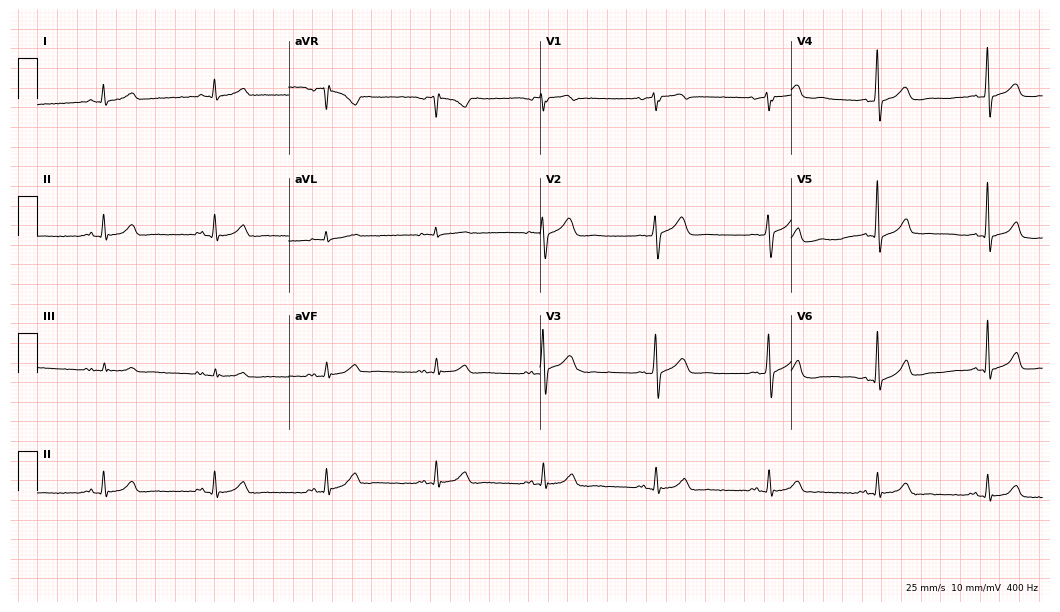
12-lead ECG from a male patient, 54 years old (10.2-second recording at 400 Hz). Recorded interpretation: within normal limits.